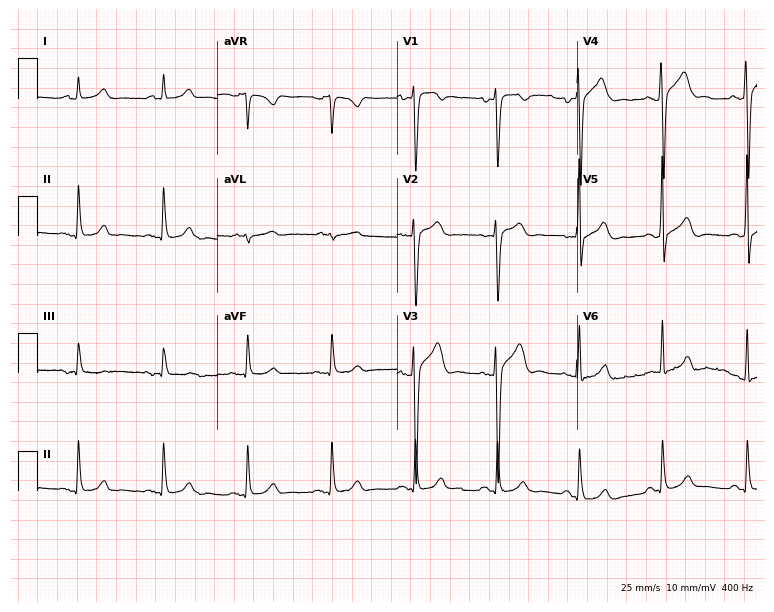
Standard 12-lead ECG recorded from a man, 38 years old. Read as a normal ECG.